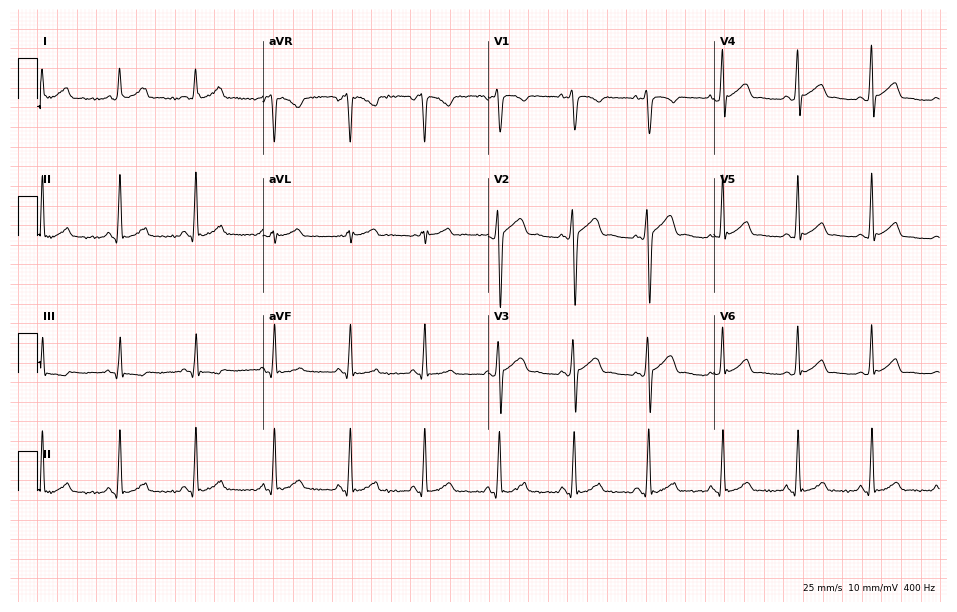
Standard 12-lead ECG recorded from a man, 21 years old. Read as a normal ECG.